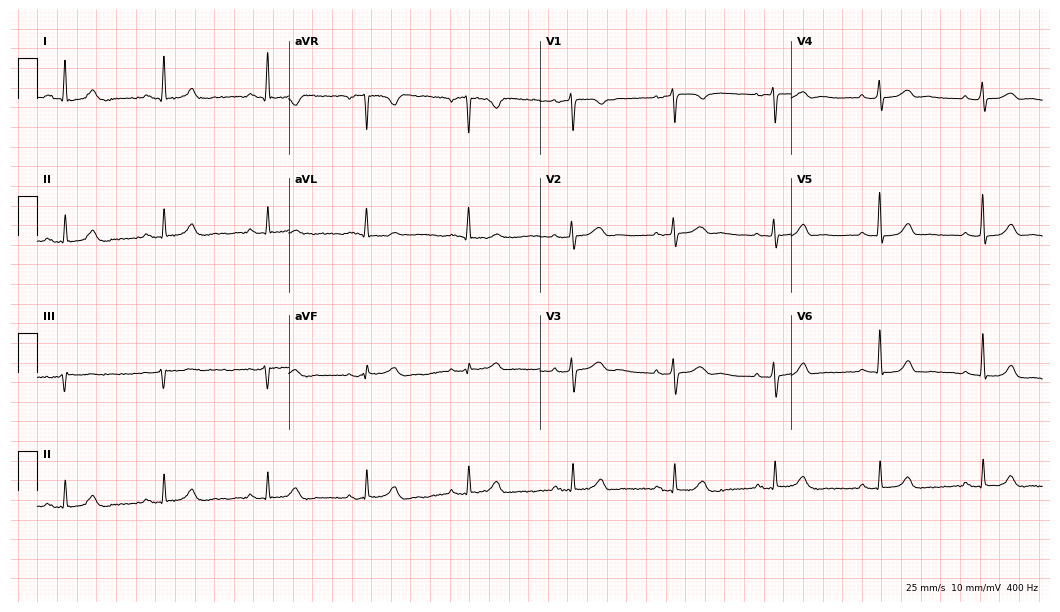
12-lead ECG from a 65-year-old female patient (10.2-second recording at 400 Hz). Recorded interpretation: within normal limits.